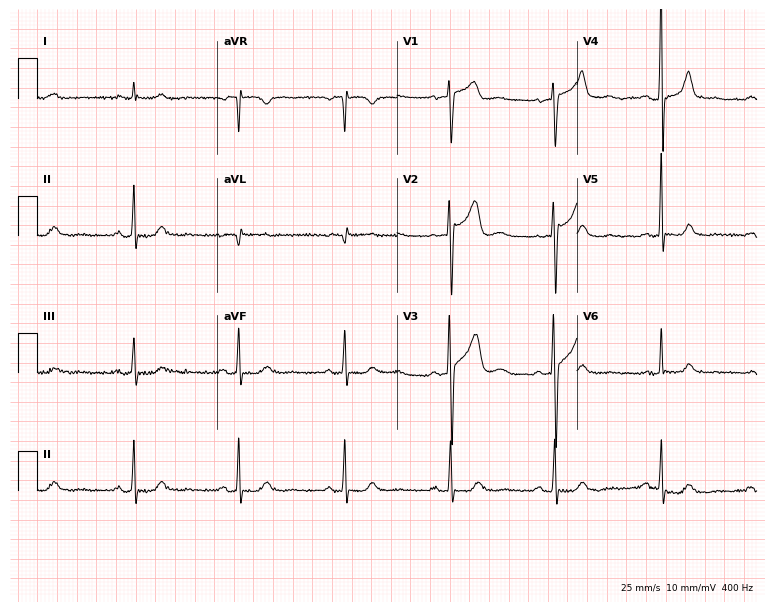
12-lead ECG from a male patient, 63 years old. No first-degree AV block, right bundle branch block, left bundle branch block, sinus bradycardia, atrial fibrillation or sinus tachycardia recorded for this tracing. Other findings, if any, are not listed.